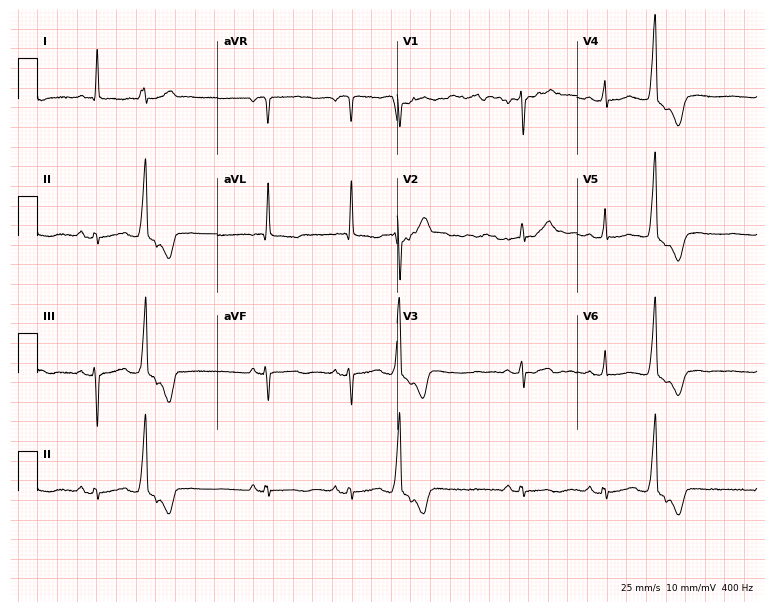
12-lead ECG from a 60-year-old woman (7.3-second recording at 400 Hz). No first-degree AV block, right bundle branch block (RBBB), left bundle branch block (LBBB), sinus bradycardia, atrial fibrillation (AF) or sinus tachycardia recorded for this tracing. Other findings, if any, are not listed.